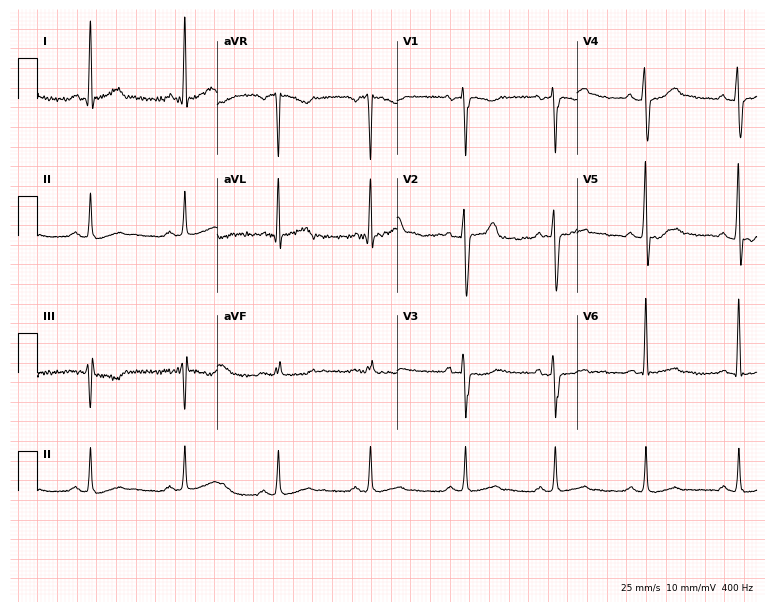
Standard 12-lead ECG recorded from a male, 37 years old (7.3-second recording at 400 Hz). Read as a normal ECG.